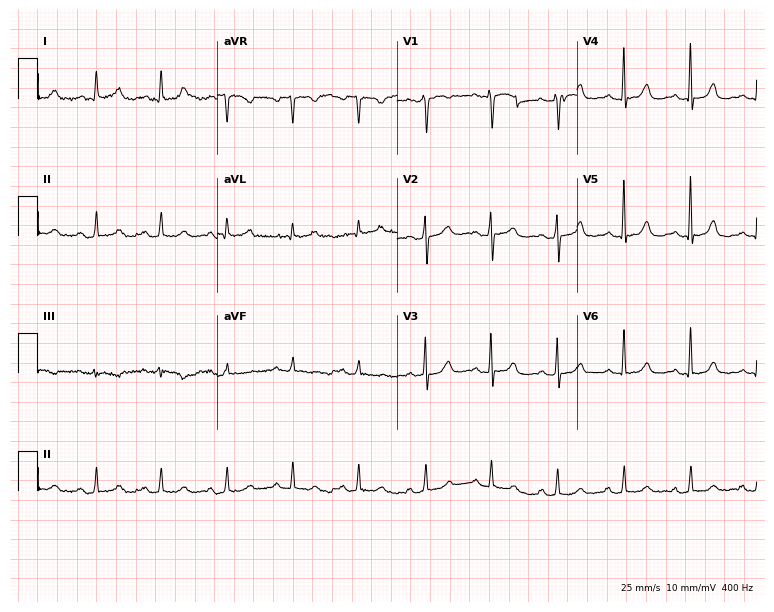
12-lead ECG (7.3-second recording at 400 Hz) from a 73-year-old female. Screened for six findings — first-degree AV block, right bundle branch block, left bundle branch block, sinus bradycardia, atrial fibrillation, sinus tachycardia — none is recorded. Findings outside these six are not listed.